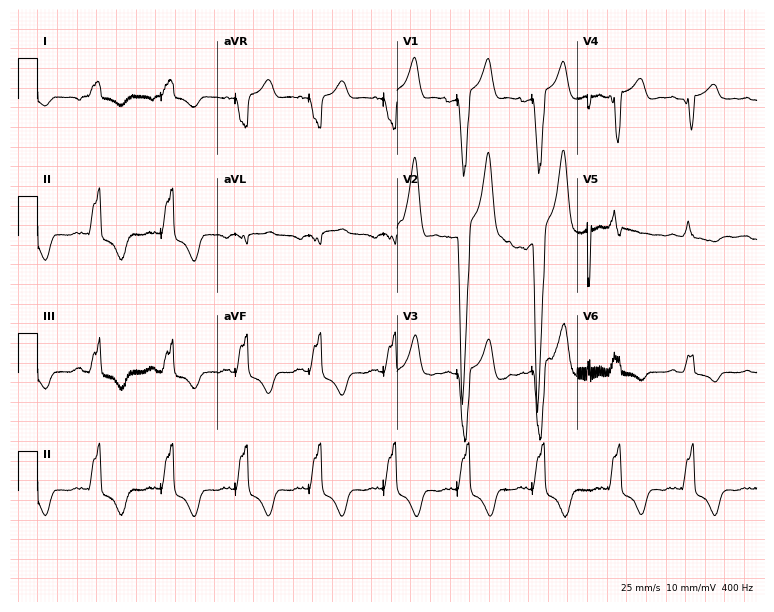
Resting 12-lead electrocardiogram. Patient: a male, 75 years old. None of these six findings is recorded: first-degree AV block, right bundle branch block, left bundle branch block, sinus bradycardia, atrial fibrillation, sinus tachycardia.